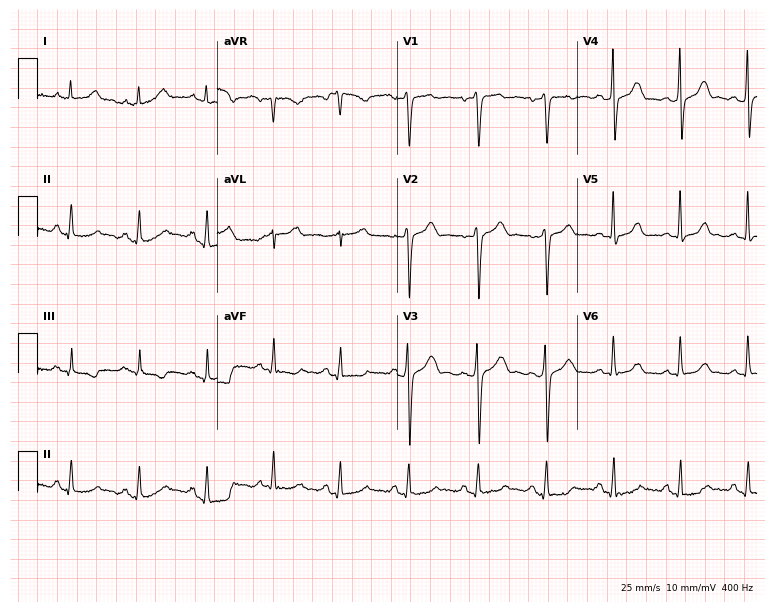
Resting 12-lead electrocardiogram. Patient: a 64-year-old male. Read as a normal ECG.